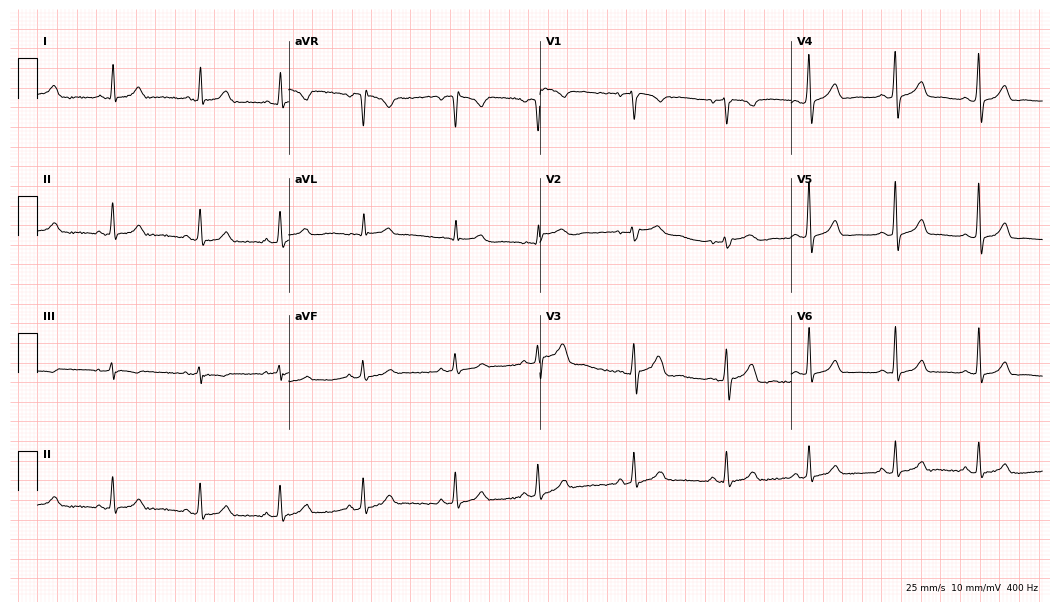
12-lead ECG (10.2-second recording at 400 Hz) from a woman, 30 years old. Labelled as a normal ECG.